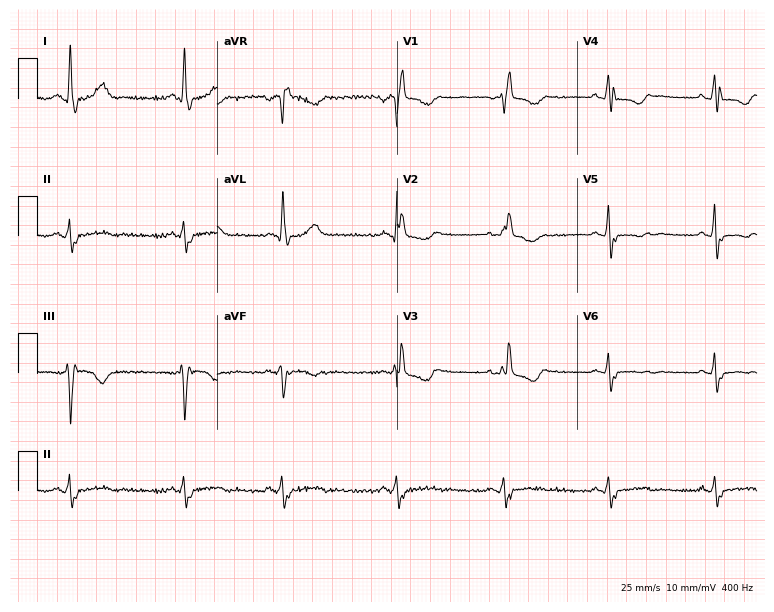
12-lead ECG from a 65-year-old female patient. Findings include right bundle branch block (RBBB).